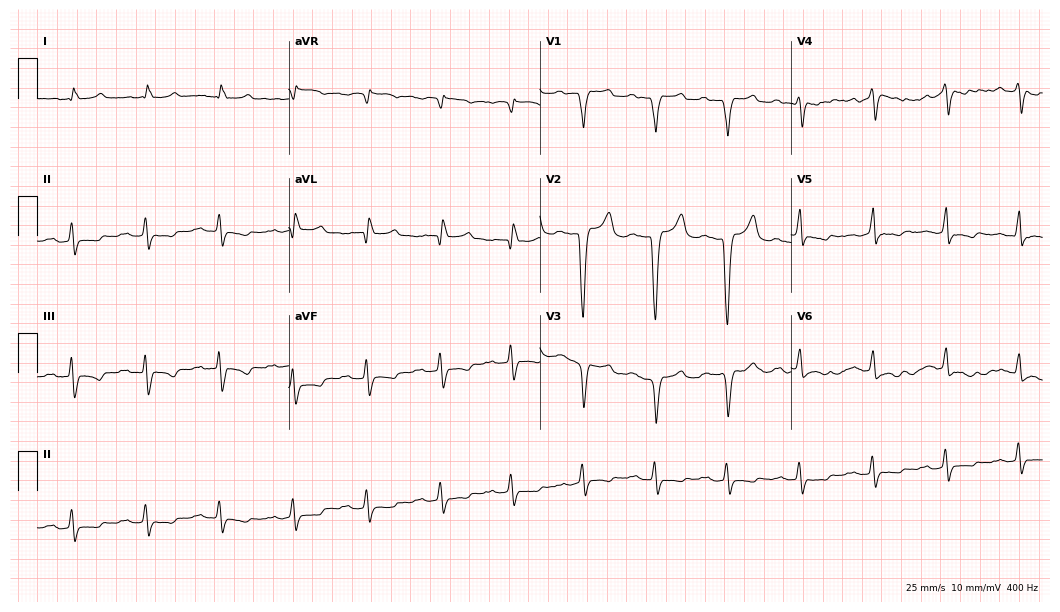
Resting 12-lead electrocardiogram. Patient: a female, 50 years old. None of these six findings is recorded: first-degree AV block, right bundle branch block, left bundle branch block, sinus bradycardia, atrial fibrillation, sinus tachycardia. Only these six findings were labelled.